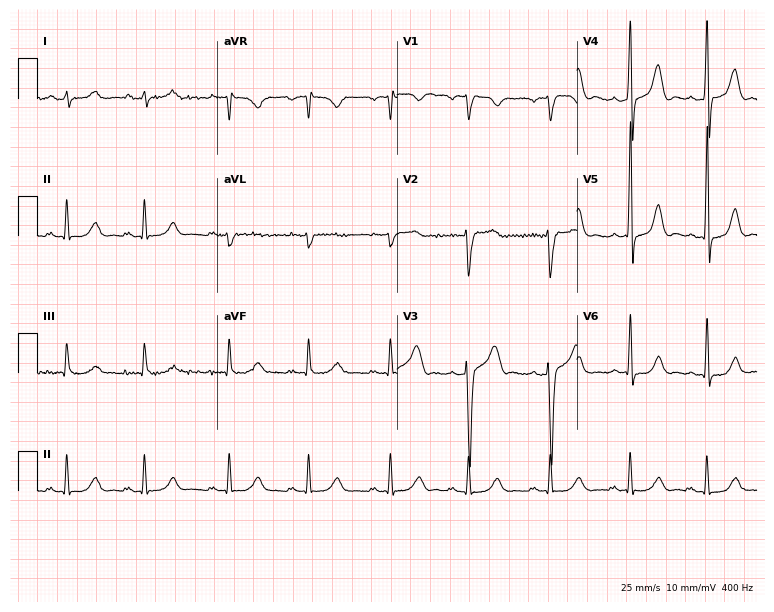
ECG — a 37-year-old man. Labelled as a normal ECG.